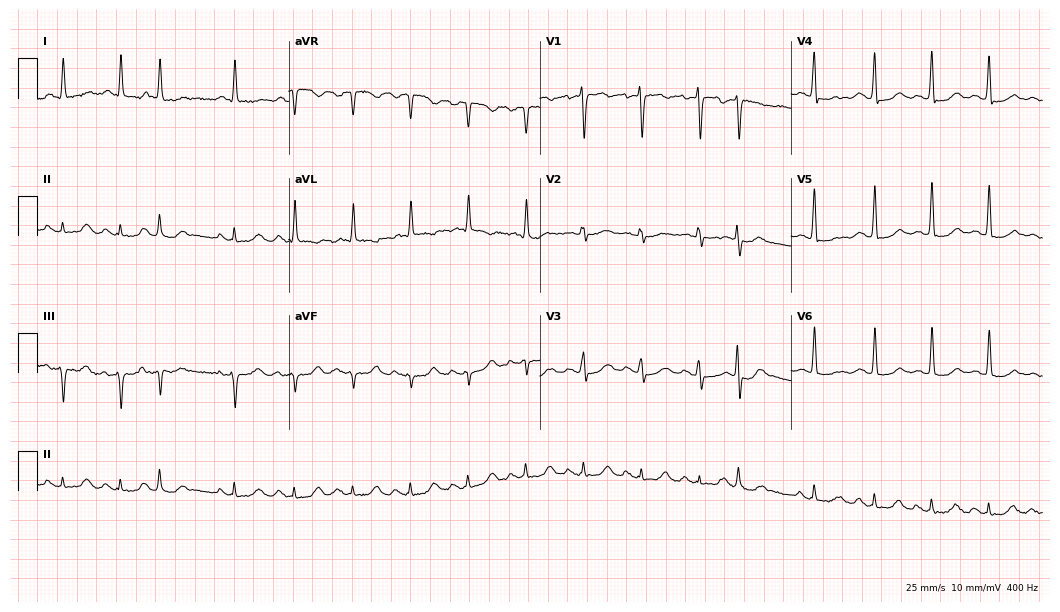
Standard 12-lead ECG recorded from an 84-year-old woman. The tracing shows sinus tachycardia (a sinus rate of 100 beats per minute or more).